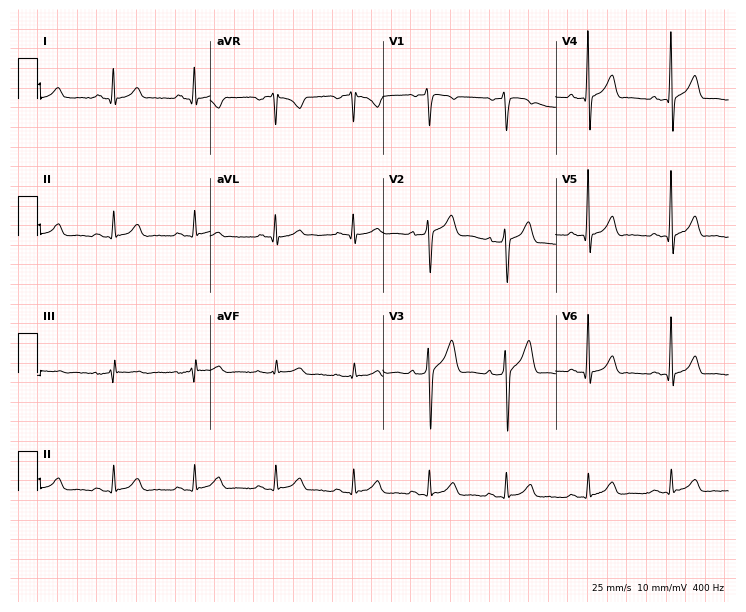
Electrocardiogram, a male patient, 46 years old. Of the six screened findings (first-degree AV block, right bundle branch block, left bundle branch block, sinus bradycardia, atrial fibrillation, sinus tachycardia), none is recorded.